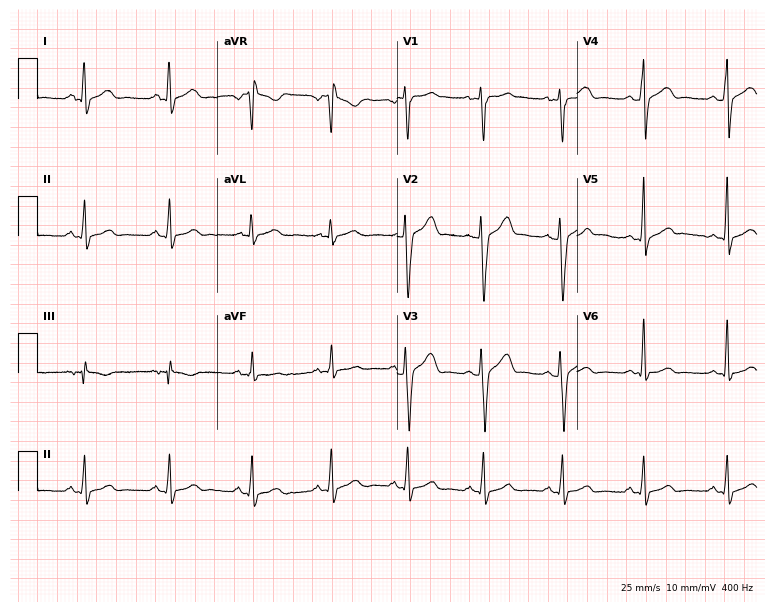
Resting 12-lead electrocardiogram (7.3-second recording at 400 Hz). Patient: a 30-year-old man. None of these six findings is recorded: first-degree AV block, right bundle branch block, left bundle branch block, sinus bradycardia, atrial fibrillation, sinus tachycardia. Other findings, if any, are not listed.